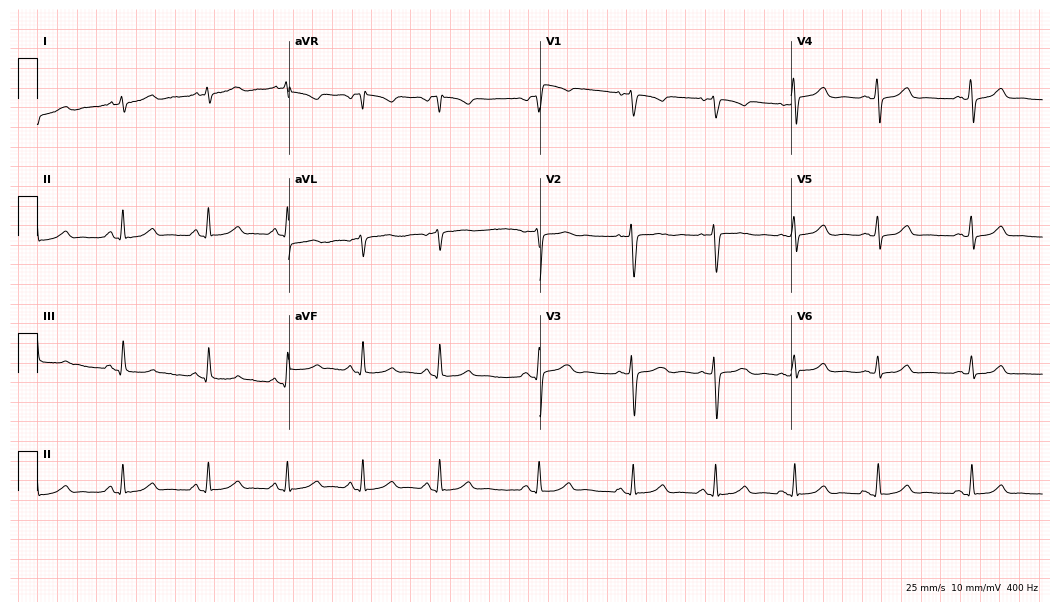
Resting 12-lead electrocardiogram. Patient: a woman, 33 years old. Read as a normal ECG.